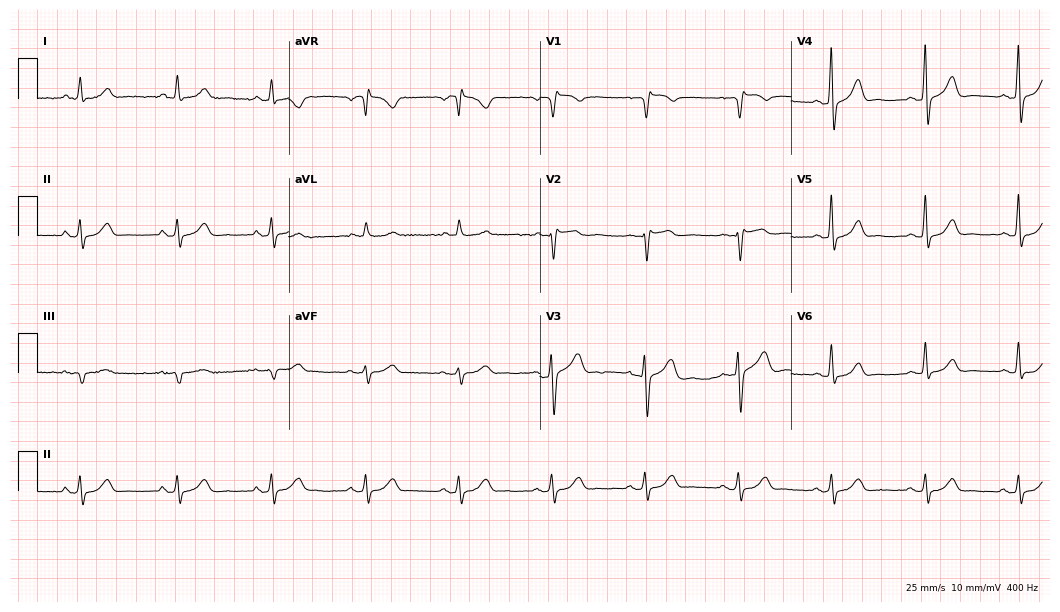
Electrocardiogram, a male, 56 years old. Of the six screened findings (first-degree AV block, right bundle branch block (RBBB), left bundle branch block (LBBB), sinus bradycardia, atrial fibrillation (AF), sinus tachycardia), none is recorded. Other findings, if any, are not listed.